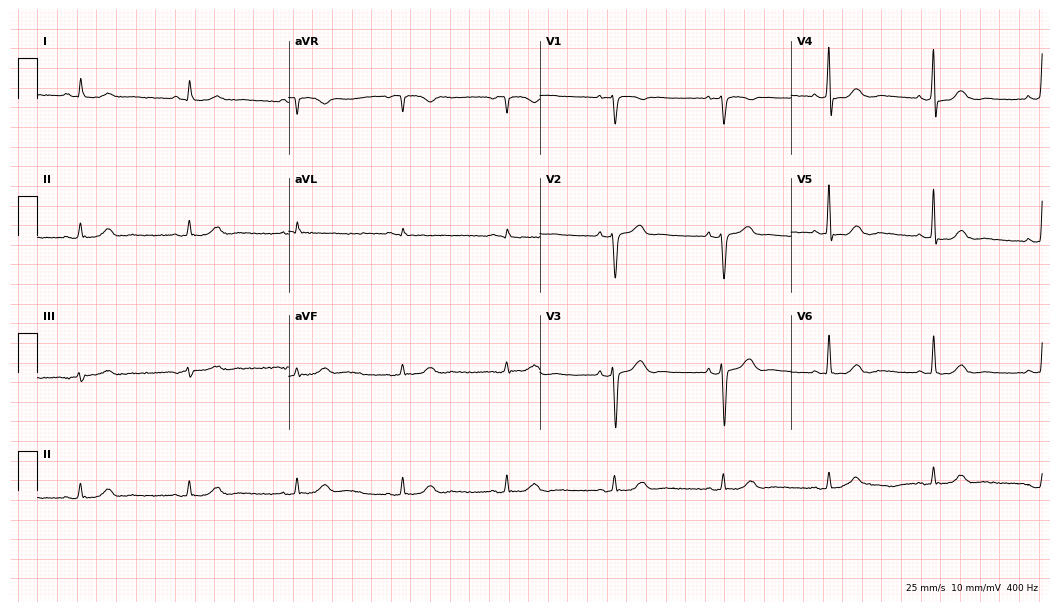
Resting 12-lead electrocardiogram. Patient: a 53-year-old male. Read as a normal ECG.